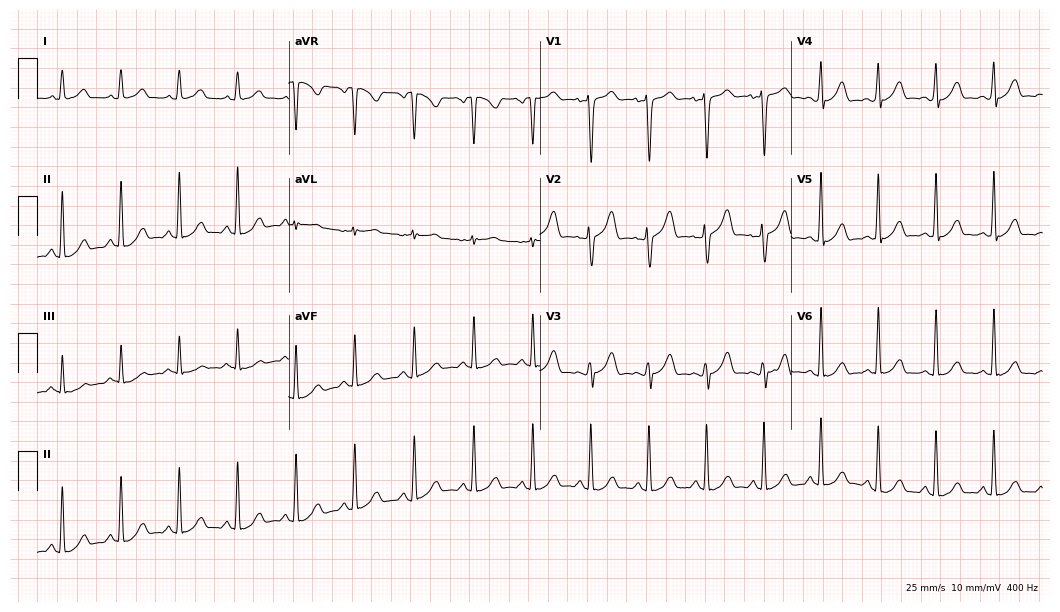
Standard 12-lead ECG recorded from a female, 36 years old (10.2-second recording at 400 Hz). Read as a normal ECG.